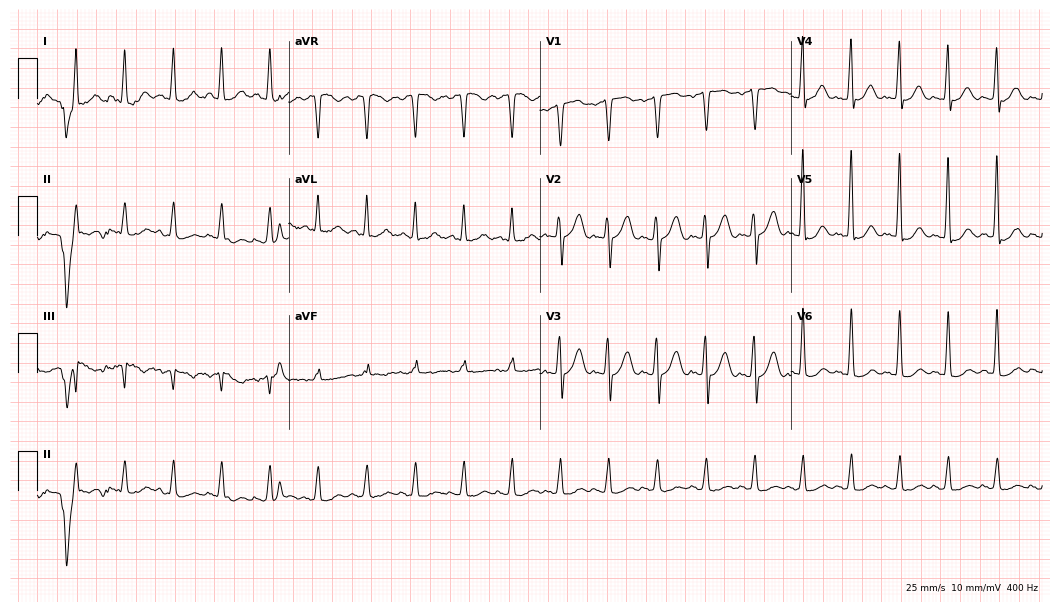
Resting 12-lead electrocardiogram. Patient: a male, 63 years old. The tracing shows sinus tachycardia (a sinus rate of 100 beats per minute or more).